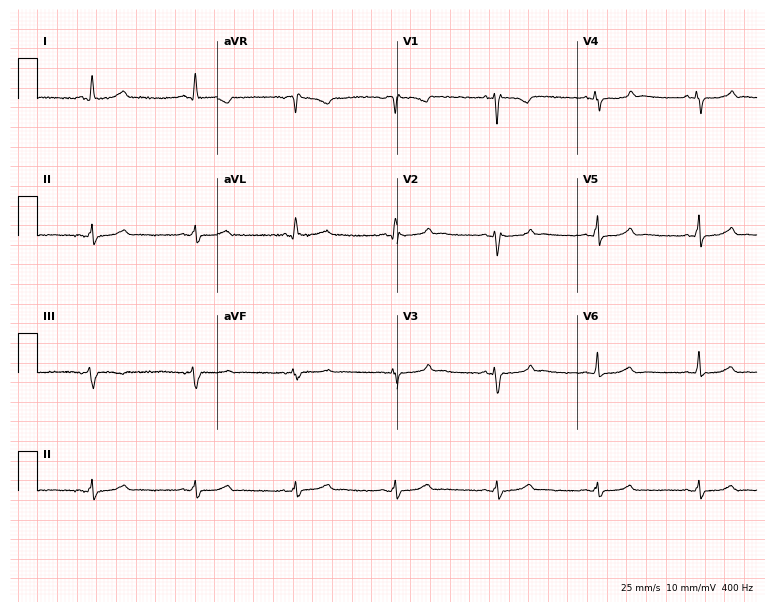
12-lead ECG from a 49-year-old woman (7.3-second recording at 400 Hz). Recorded interpretation: within normal limits.